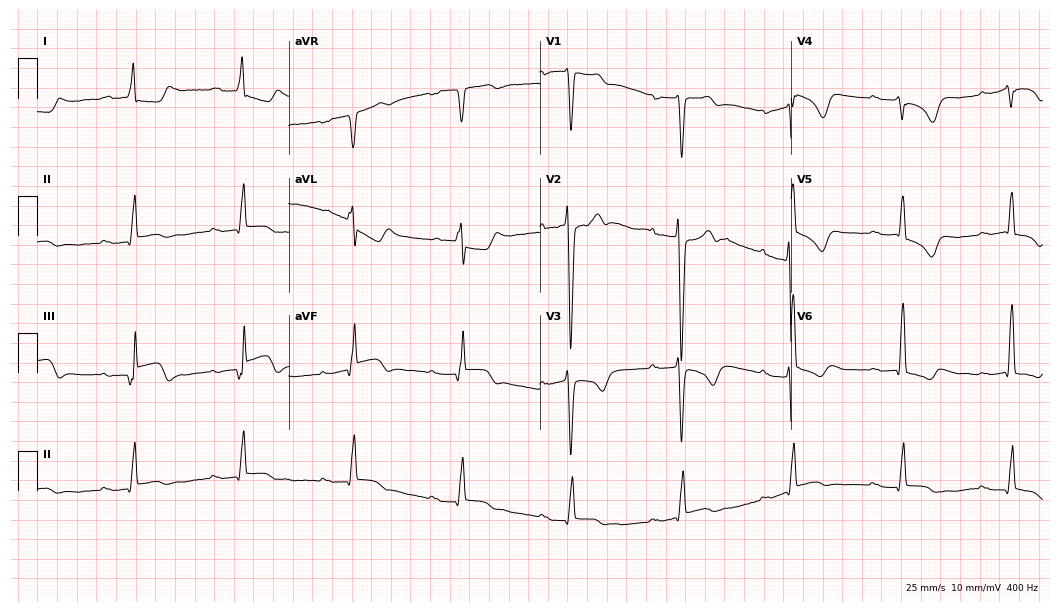
ECG (10.2-second recording at 400 Hz) — a male patient, 75 years old. Findings include first-degree AV block.